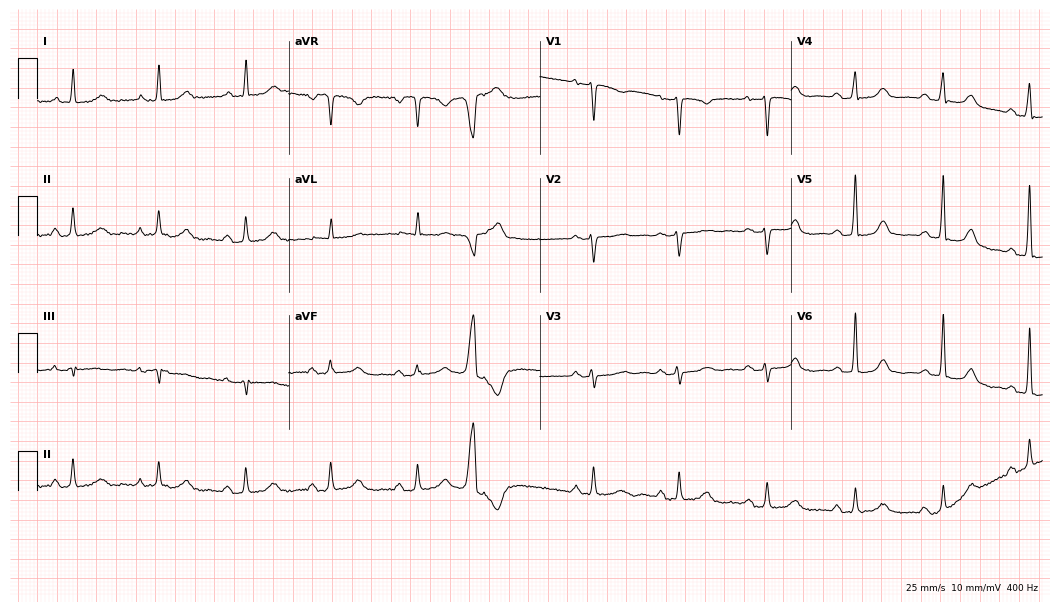
12-lead ECG (10.2-second recording at 400 Hz) from a female, 75 years old. Labelled as a normal ECG.